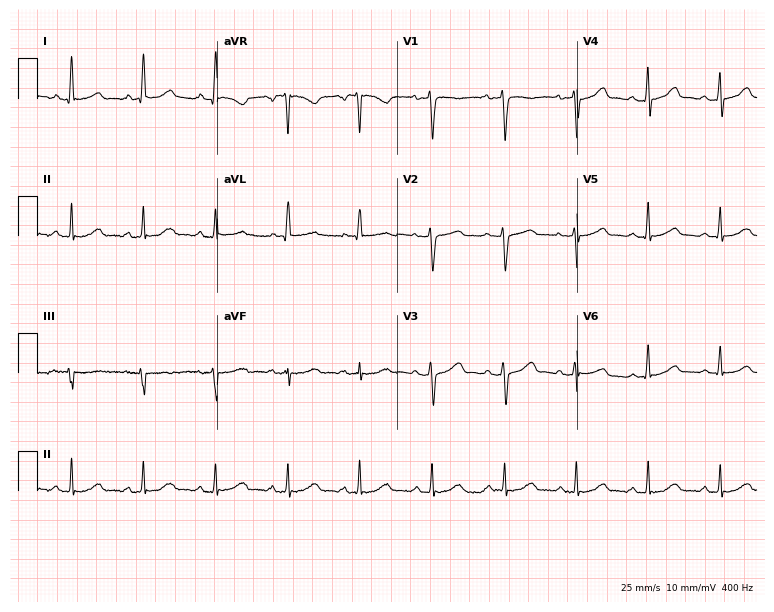
12-lead ECG from a 39-year-old female. Labelled as a normal ECG.